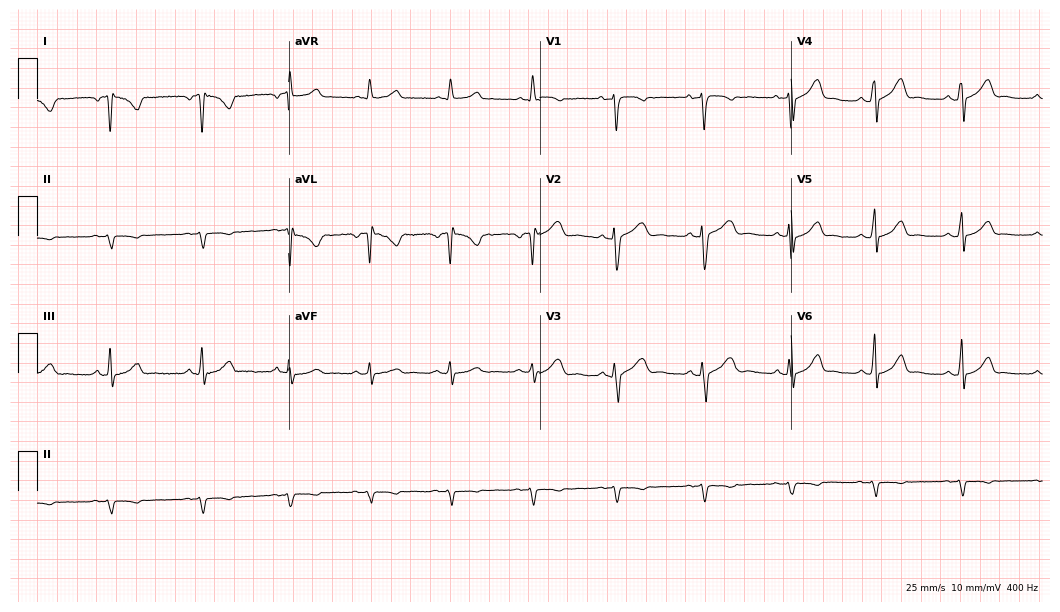
Electrocardiogram (10.2-second recording at 400 Hz), an 18-year-old woman. Of the six screened findings (first-degree AV block, right bundle branch block (RBBB), left bundle branch block (LBBB), sinus bradycardia, atrial fibrillation (AF), sinus tachycardia), none is recorded. Findings outside these six are not listed.